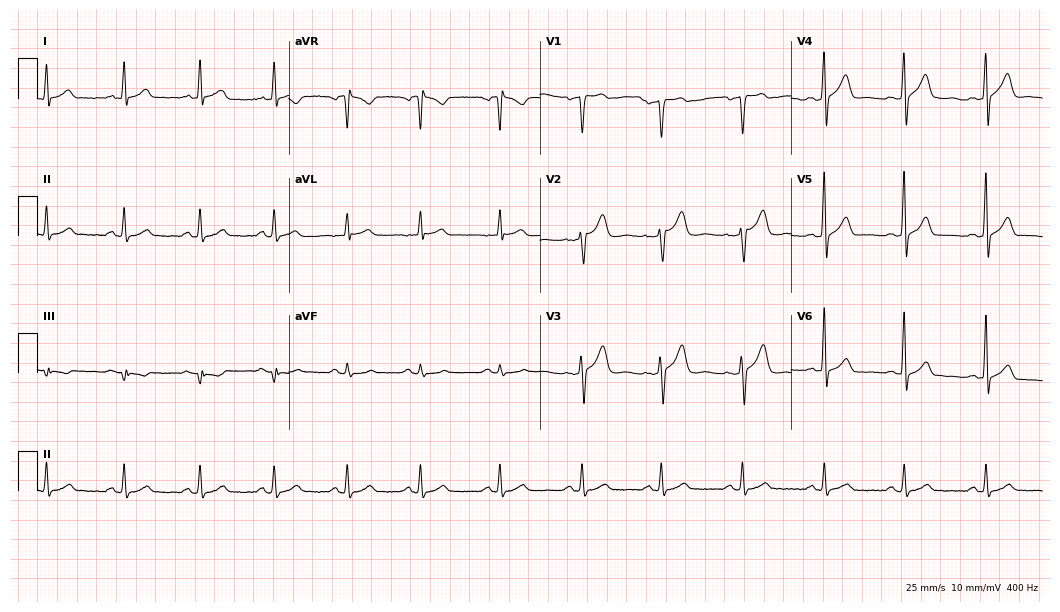
12-lead ECG from a 37-year-old male (10.2-second recording at 400 Hz). Recorded interpretation: within normal limits.